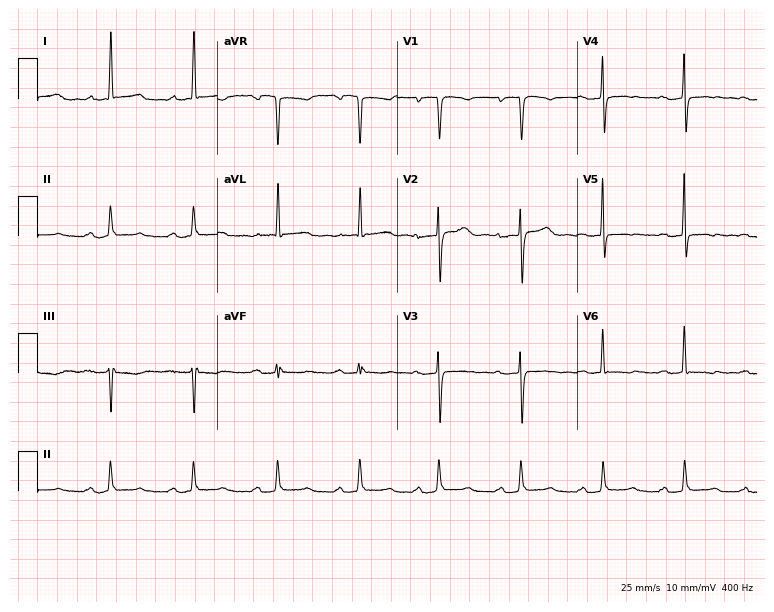
Resting 12-lead electrocardiogram. Patient: a female, 73 years old. None of these six findings is recorded: first-degree AV block, right bundle branch block (RBBB), left bundle branch block (LBBB), sinus bradycardia, atrial fibrillation (AF), sinus tachycardia.